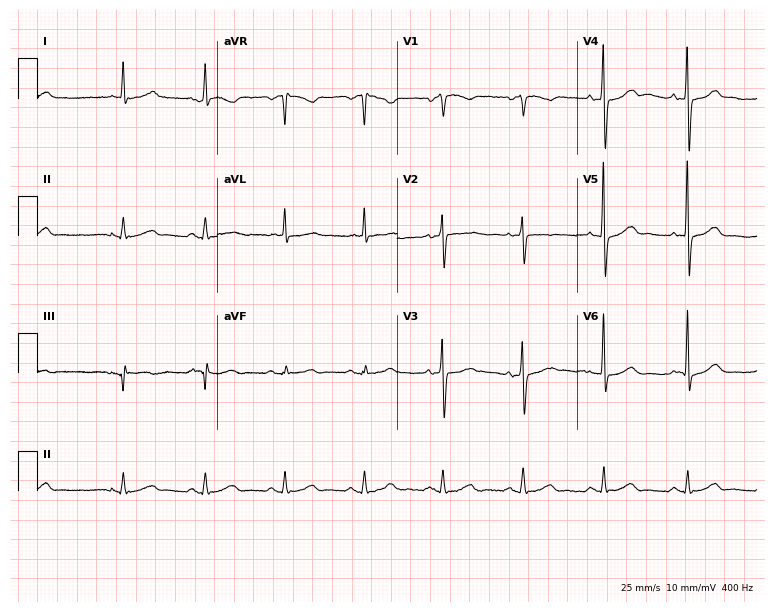
12-lead ECG from a male, 65 years old (7.3-second recording at 400 Hz). Recorded interpretation: within normal limits.